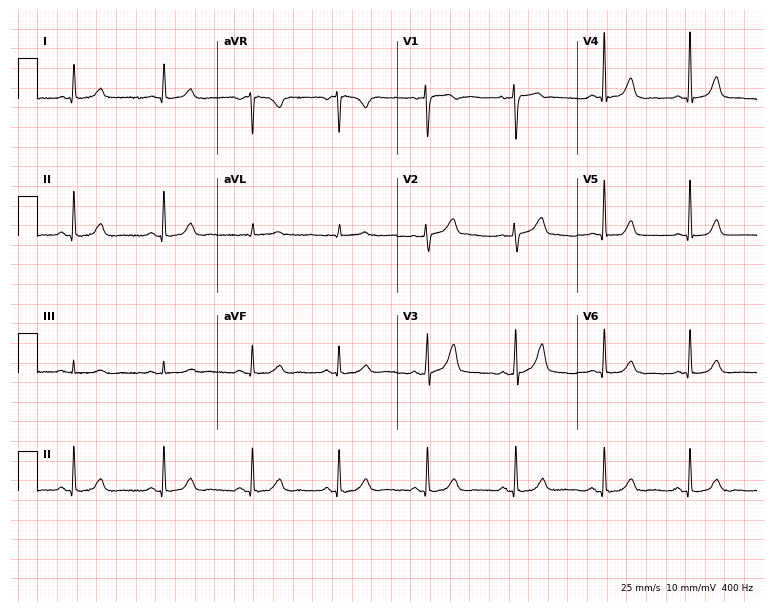
12-lead ECG from a 49-year-old female. Labelled as a normal ECG.